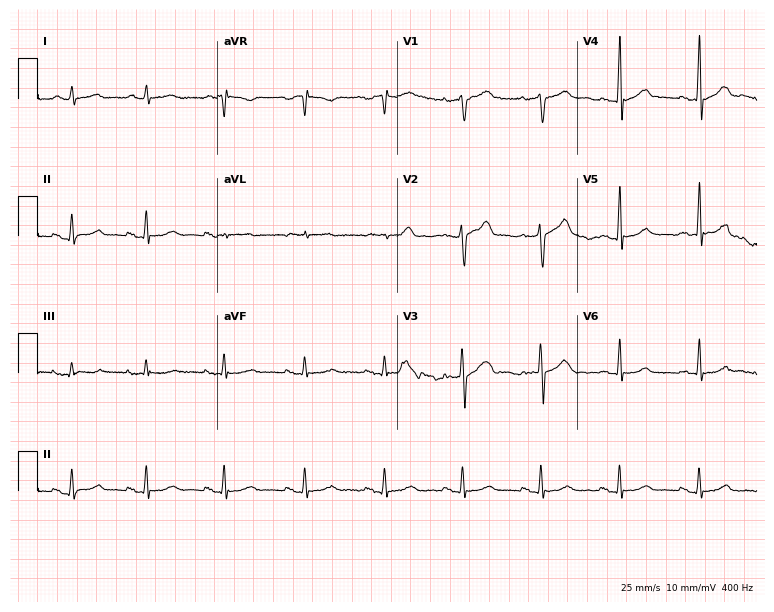
ECG — a 50-year-old male. Labelled as a normal ECG.